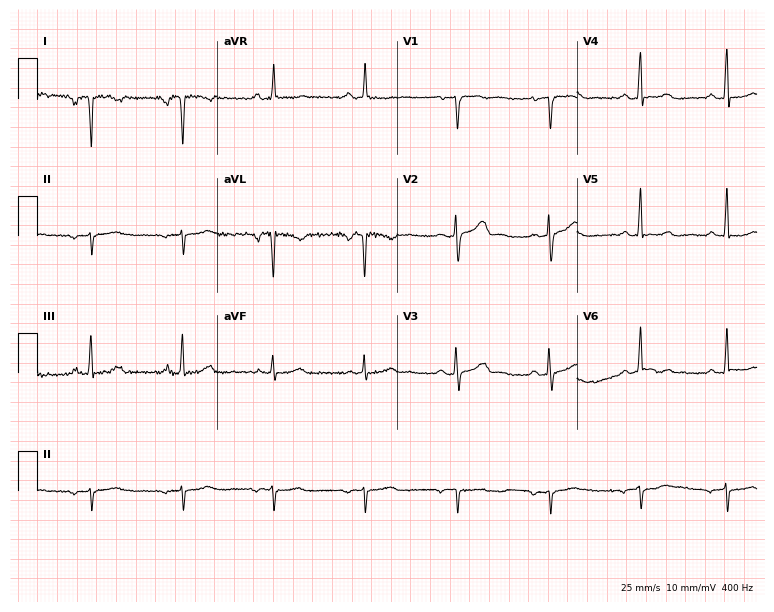
12-lead ECG from a female, 28 years old (7.3-second recording at 400 Hz). No first-degree AV block, right bundle branch block (RBBB), left bundle branch block (LBBB), sinus bradycardia, atrial fibrillation (AF) or sinus tachycardia recorded for this tracing. Only these six findings were labelled.